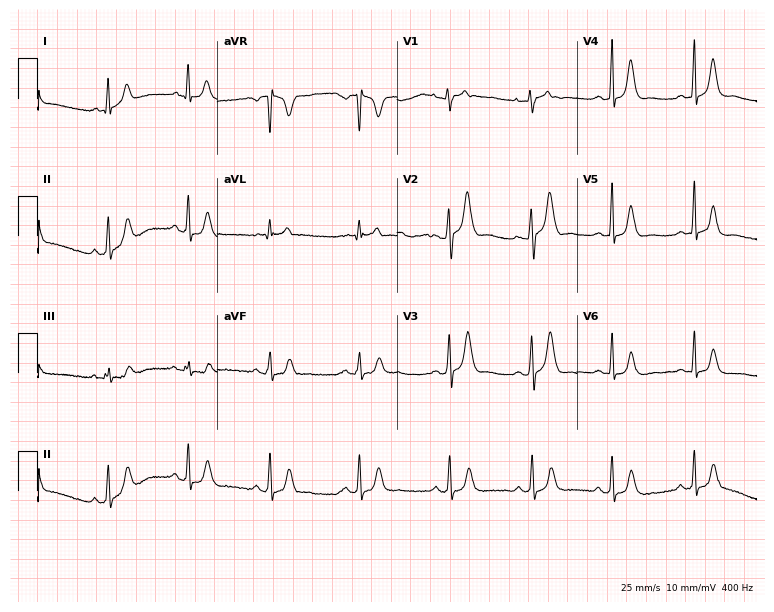
Electrocardiogram, a female patient, 32 years old. Of the six screened findings (first-degree AV block, right bundle branch block, left bundle branch block, sinus bradycardia, atrial fibrillation, sinus tachycardia), none is recorded.